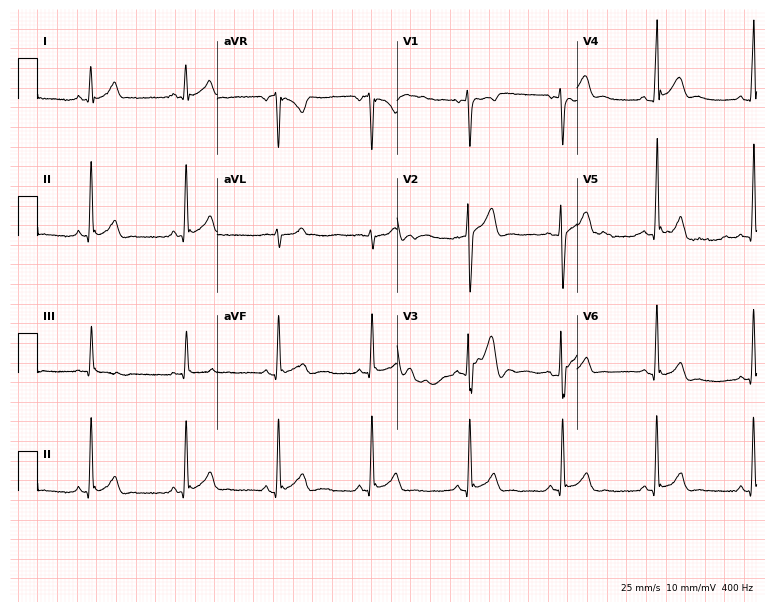
Standard 12-lead ECG recorded from an 18-year-old male patient (7.3-second recording at 400 Hz). Read as a normal ECG.